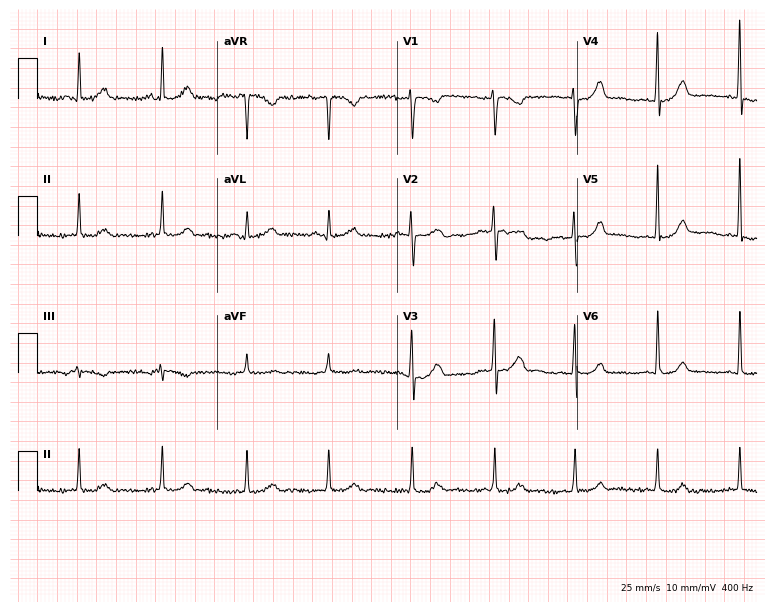
Standard 12-lead ECG recorded from a female, 37 years old. None of these six findings is recorded: first-degree AV block, right bundle branch block, left bundle branch block, sinus bradycardia, atrial fibrillation, sinus tachycardia. Findings outside these six are not listed.